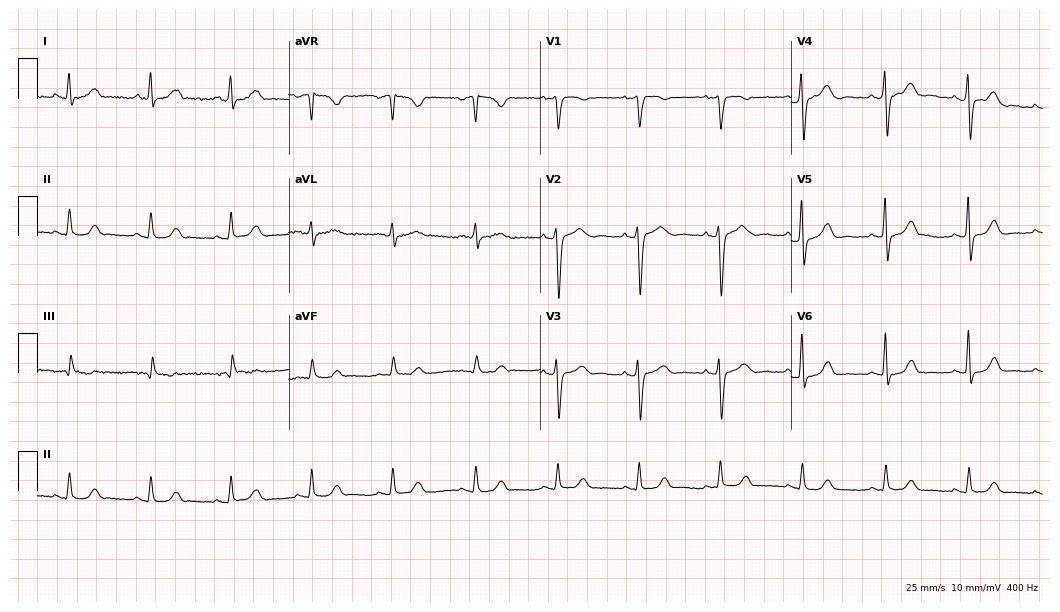
Standard 12-lead ECG recorded from a female, 63 years old (10.2-second recording at 400 Hz). None of these six findings is recorded: first-degree AV block, right bundle branch block, left bundle branch block, sinus bradycardia, atrial fibrillation, sinus tachycardia. Findings outside these six are not listed.